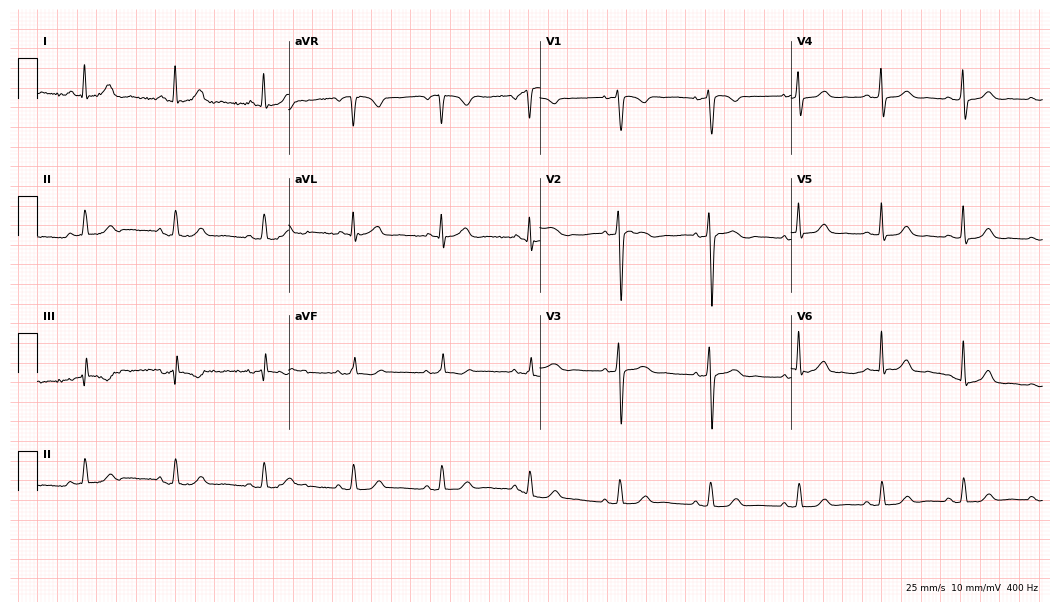
ECG (10.2-second recording at 400 Hz) — a 35-year-old woman. Labelled as a normal ECG.